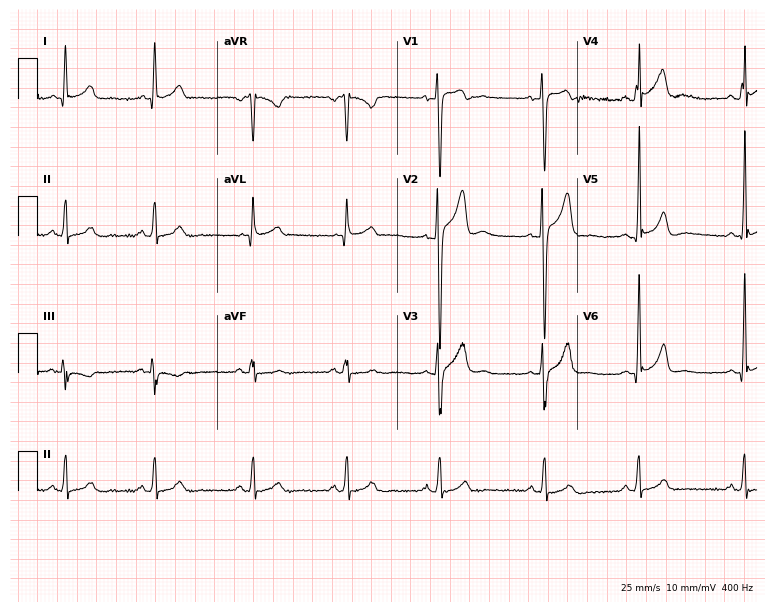
Electrocardiogram (7.3-second recording at 400 Hz), a man, 23 years old. Of the six screened findings (first-degree AV block, right bundle branch block, left bundle branch block, sinus bradycardia, atrial fibrillation, sinus tachycardia), none is recorded. Findings outside these six are not listed.